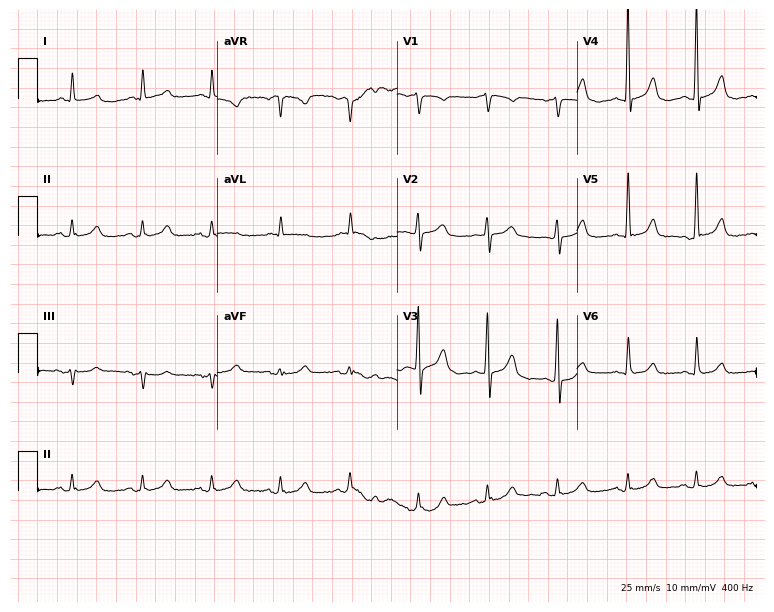
Electrocardiogram (7.3-second recording at 400 Hz), a woman, 76 years old. Of the six screened findings (first-degree AV block, right bundle branch block (RBBB), left bundle branch block (LBBB), sinus bradycardia, atrial fibrillation (AF), sinus tachycardia), none is recorded. Other findings, if any, are not listed.